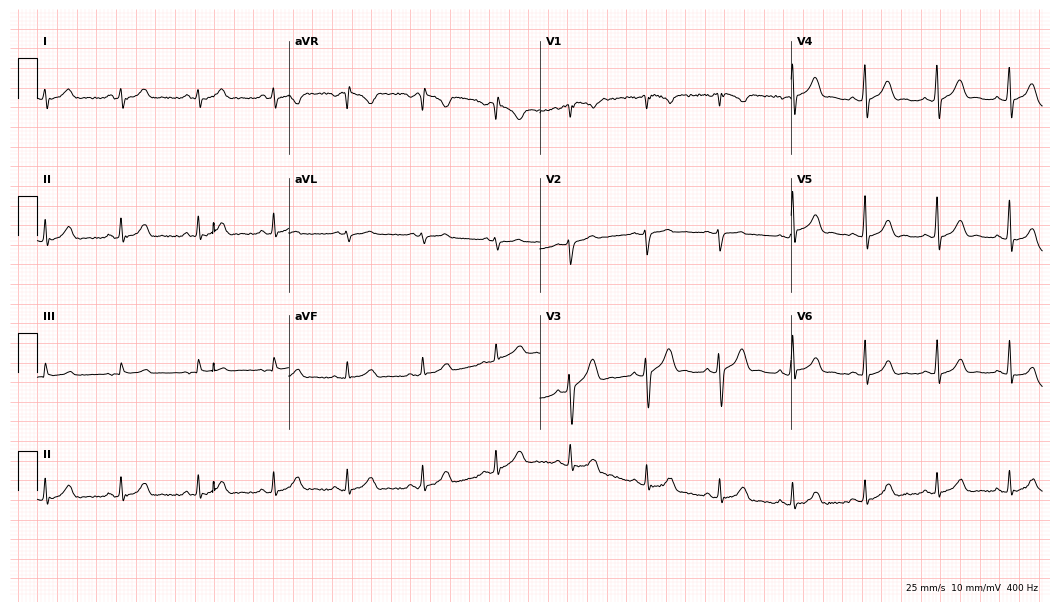
ECG (10.2-second recording at 400 Hz) — a male, 30 years old. Labelled as a normal ECG.